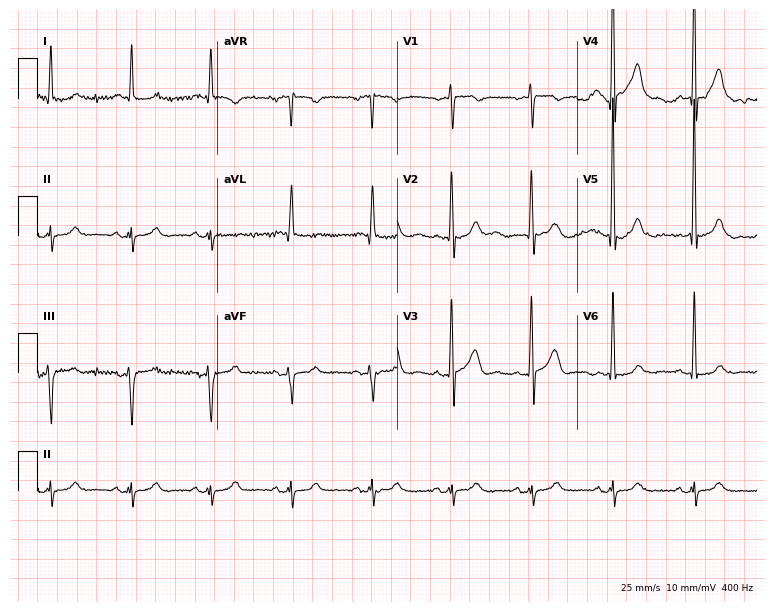
ECG (7.3-second recording at 400 Hz) — a 72-year-old man. Labelled as a normal ECG.